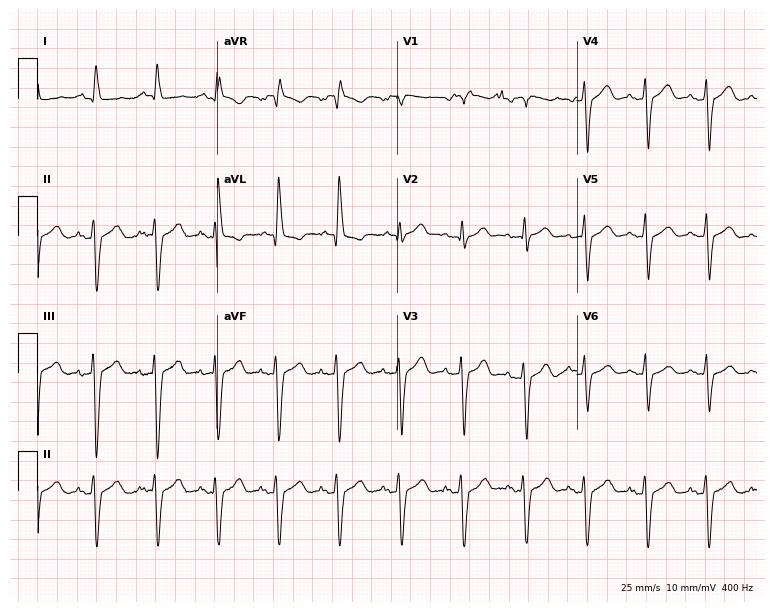
ECG — a man, 63 years old. Screened for six findings — first-degree AV block, right bundle branch block, left bundle branch block, sinus bradycardia, atrial fibrillation, sinus tachycardia — none is recorded. Only these six findings were labelled.